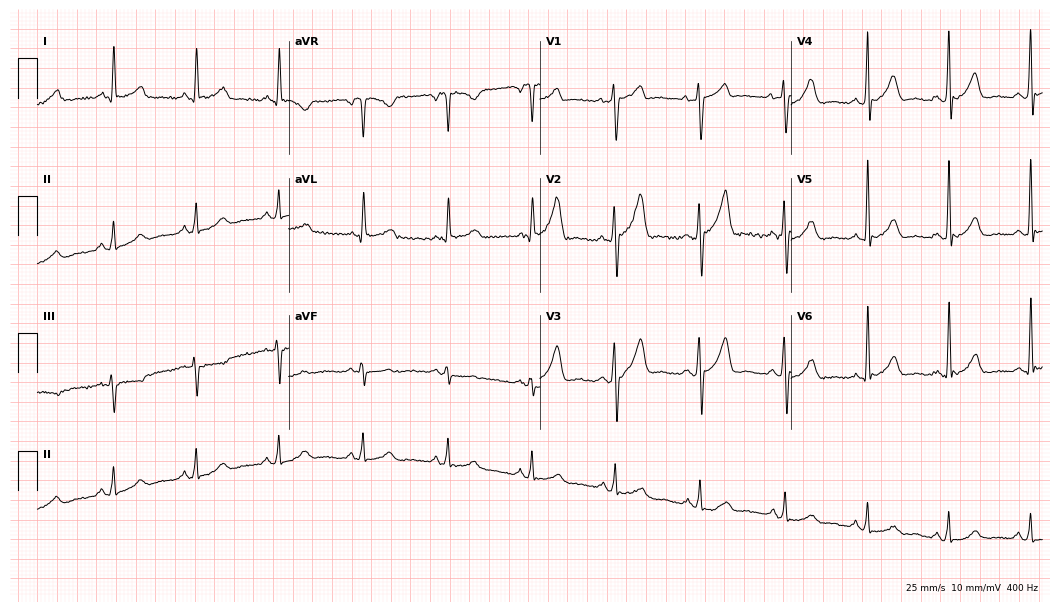
Resting 12-lead electrocardiogram (10.2-second recording at 400 Hz). Patient: a man, 53 years old. Read as a normal ECG.